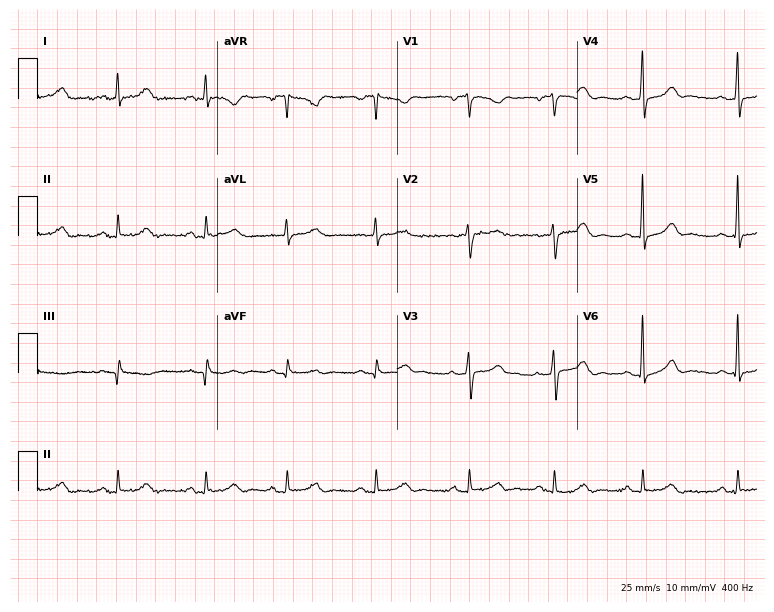
Electrocardiogram (7.3-second recording at 400 Hz), a female, 54 years old. Overall reading on record: normal ECG.